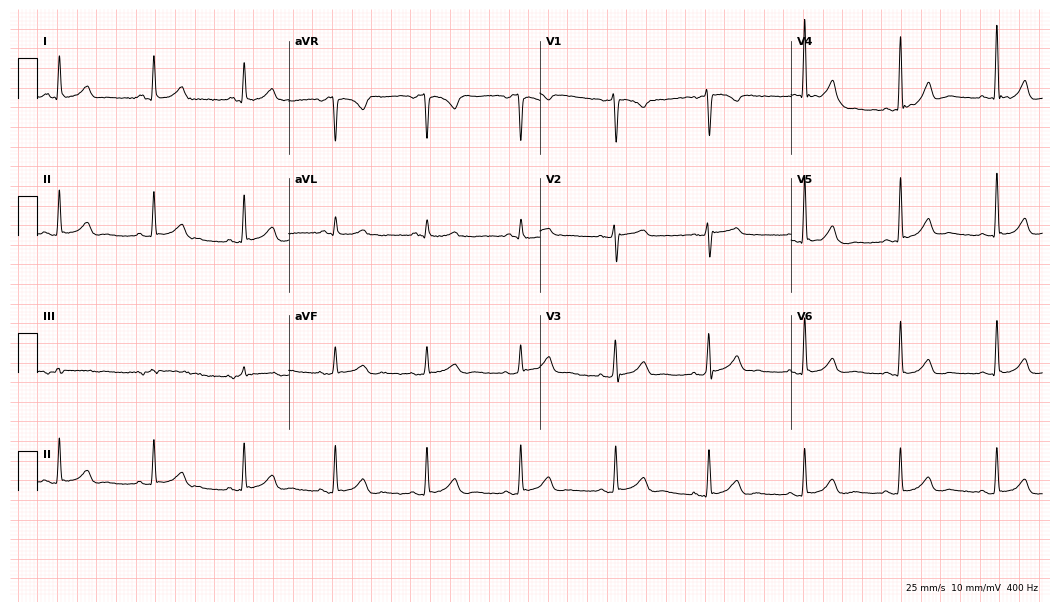
ECG — a 60-year-old female patient. Labelled as a normal ECG.